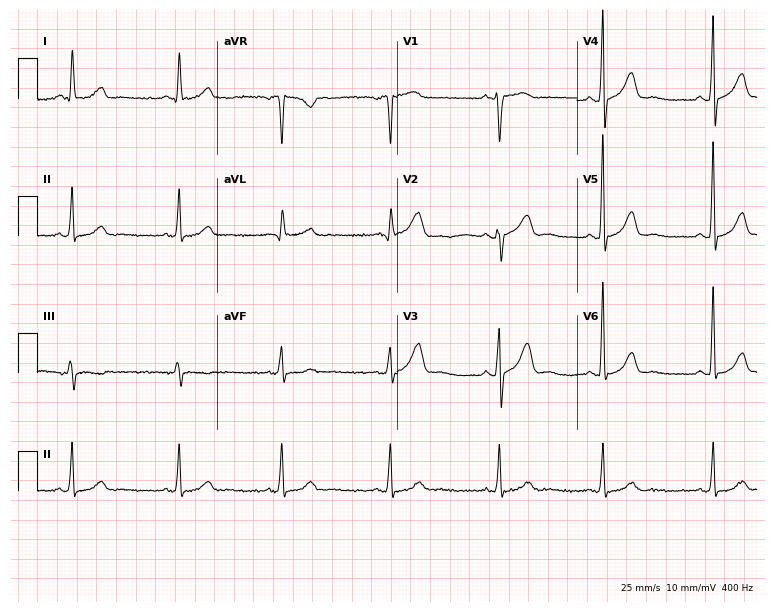
Standard 12-lead ECG recorded from a 39-year-old female patient. Read as a normal ECG.